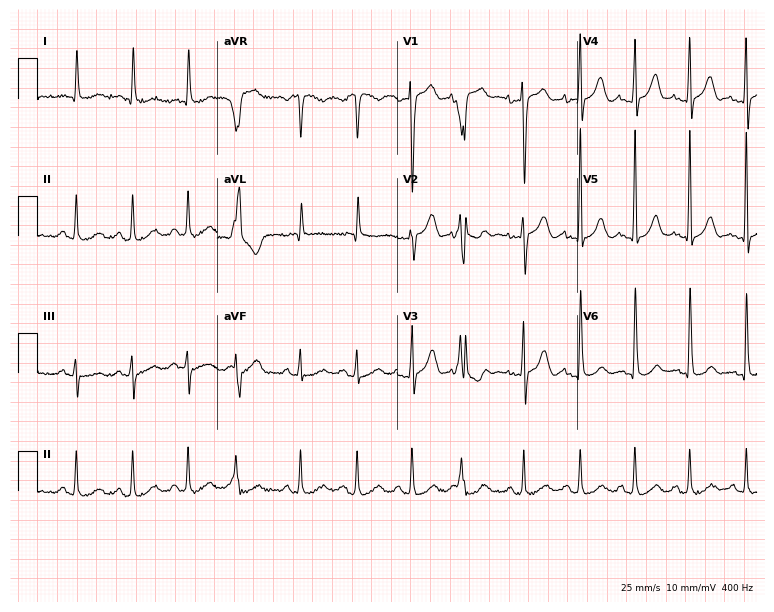
ECG (7.3-second recording at 400 Hz) — an 82-year-old female. Labelled as a normal ECG.